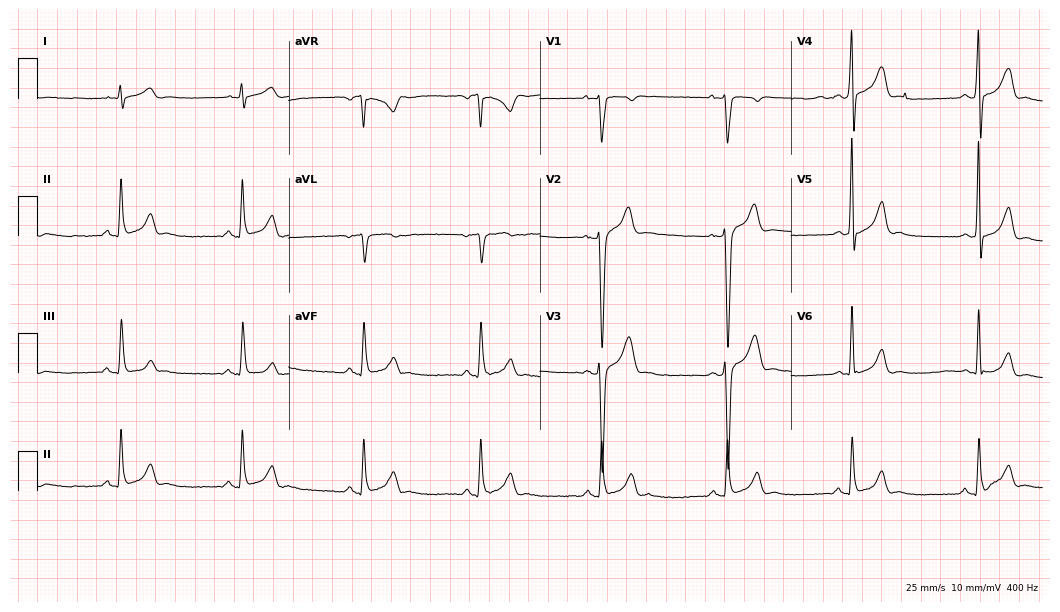
Resting 12-lead electrocardiogram. Patient: a male, 23 years old. None of these six findings is recorded: first-degree AV block, right bundle branch block, left bundle branch block, sinus bradycardia, atrial fibrillation, sinus tachycardia. Only these six findings were labelled.